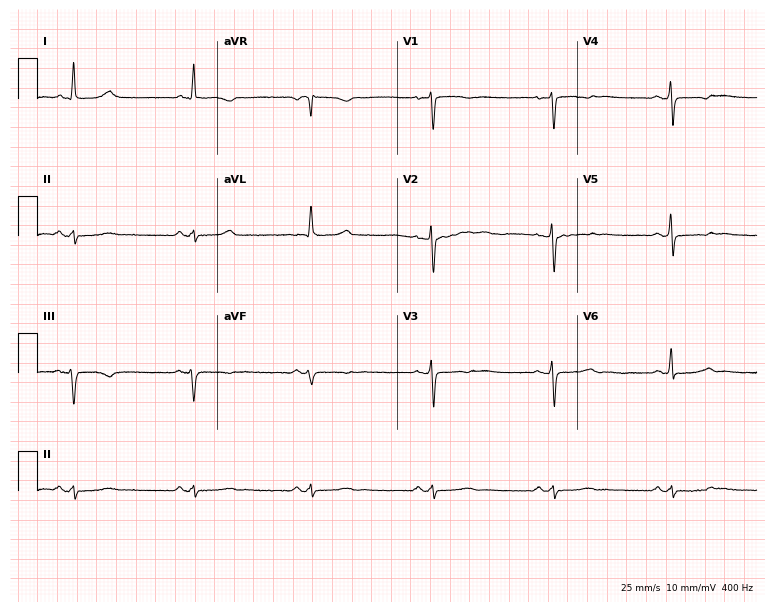
ECG — a female patient, 58 years old. Findings include sinus bradycardia (a sinus rate of 50 beats per minute or less).